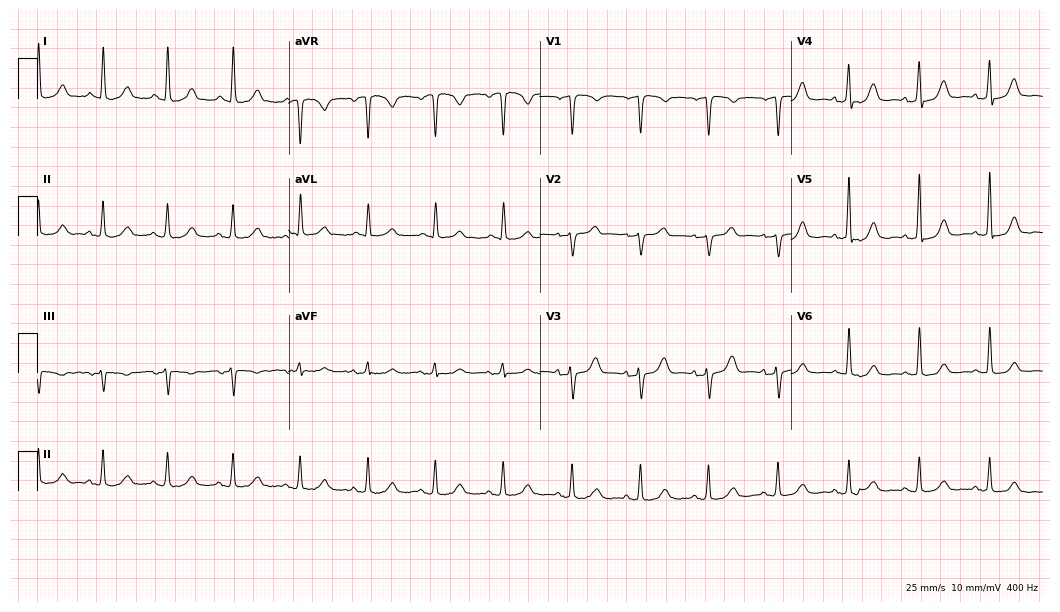
ECG (10.2-second recording at 400 Hz) — a woman, 67 years old. Labelled as a normal ECG.